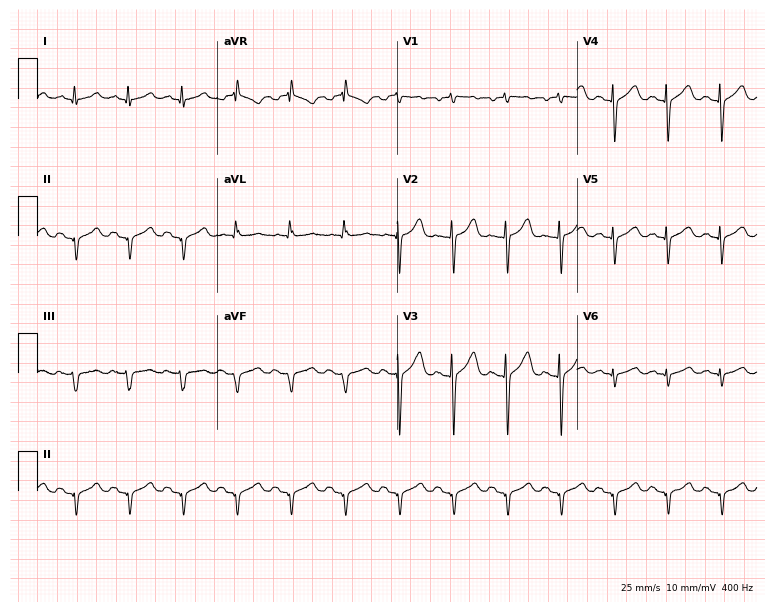
Electrocardiogram (7.3-second recording at 400 Hz), a woman, 57 years old. Interpretation includes sinus tachycardia (a sinus rate of 100 beats per minute or more).